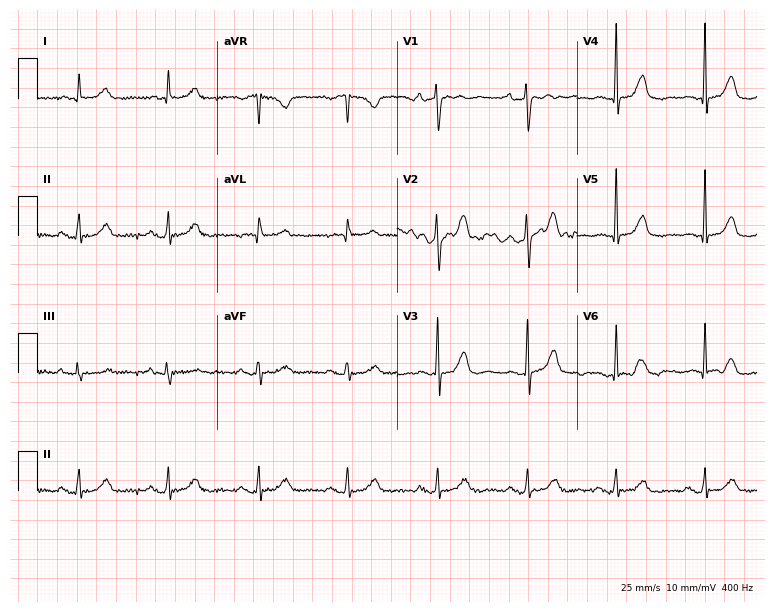
Resting 12-lead electrocardiogram. Patient: a female, 84 years old. Read as a normal ECG.